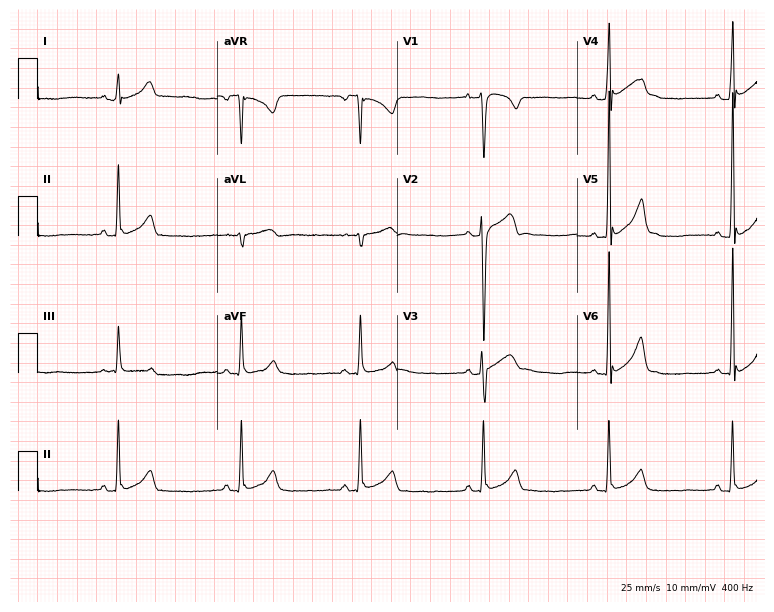
Electrocardiogram, a 17-year-old male patient. Of the six screened findings (first-degree AV block, right bundle branch block, left bundle branch block, sinus bradycardia, atrial fibrillation, sinus tachycardia), none is recorded. Findings outside these six are not listed.